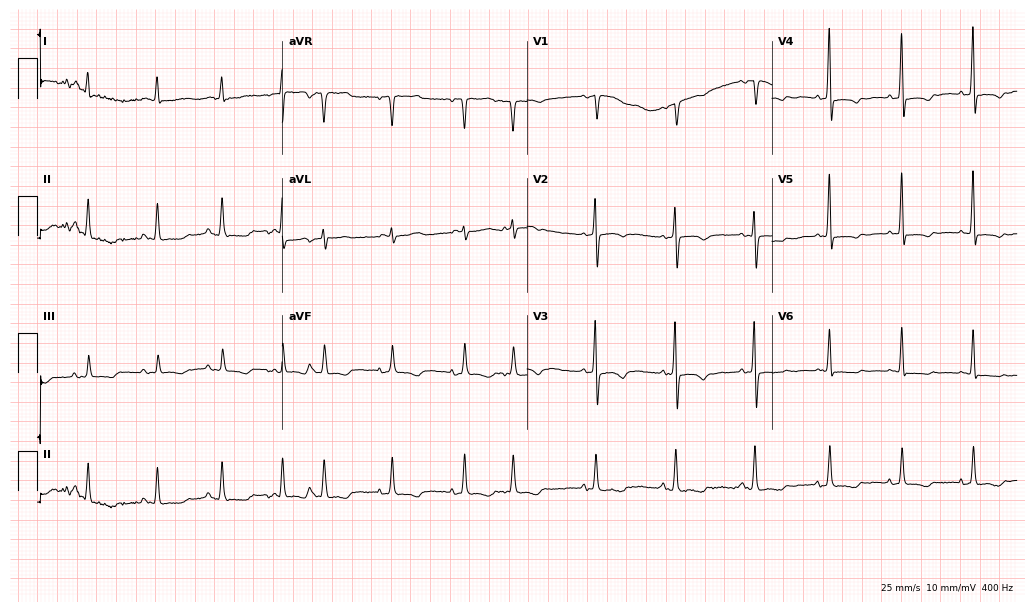
Standard 12-lead ECG recorded from an 82-year-old female. None of these six findings is recorded: first-degree AV block, right bundle branch block, left bundle branch block, sinus bradycardia, atrial fibrillation, sinus tachycardia.